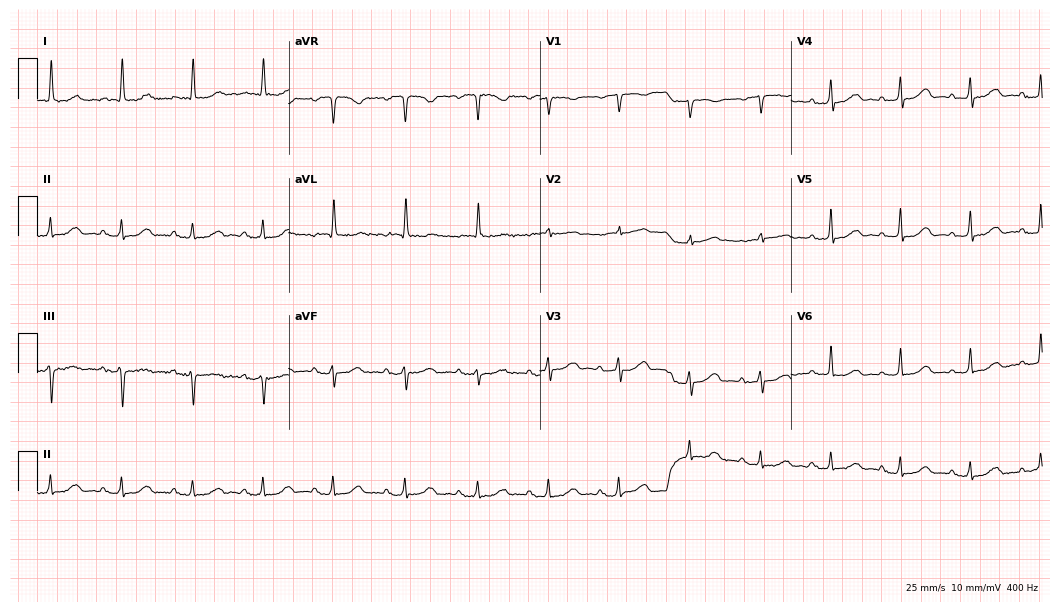
Electrocardiogram (10.2-second recording at 400 Hz), a woman, 80 years old. Of the six screened findings (first-degree AV block, right bundle branch block (RBBB), left bundle branch block (LBBB), sinus bradycardia, atrial fibrillation (AF), sinus tachycardia), none is recorded. Other findings, if any, are not listed.